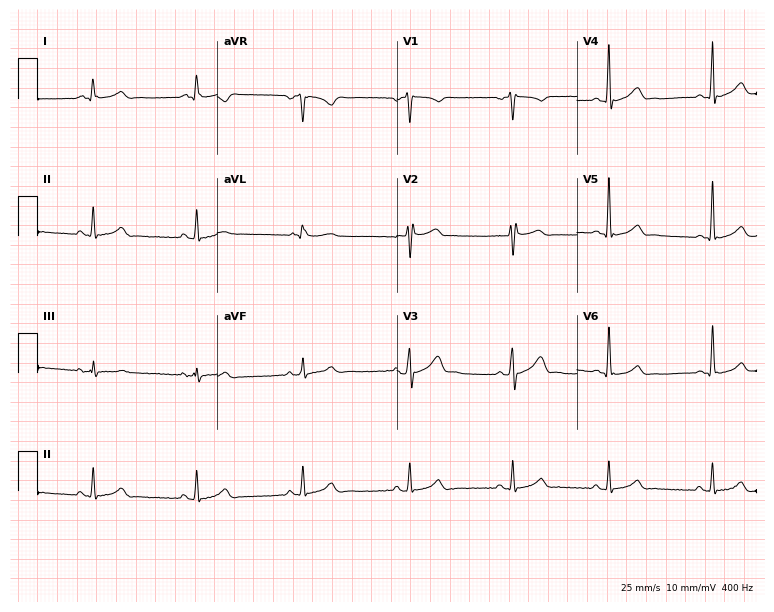
Standard 12-lead ECG recorded from a male, 33 years old (7.3-second recording at 400 Hz). None of these six findings is recorded: first-degree AV block, right bundle branch block, left bundle branch block, sinus bradycardia, atrial fibrillation, sinus tachycardia. Findings outside these six are not listed.